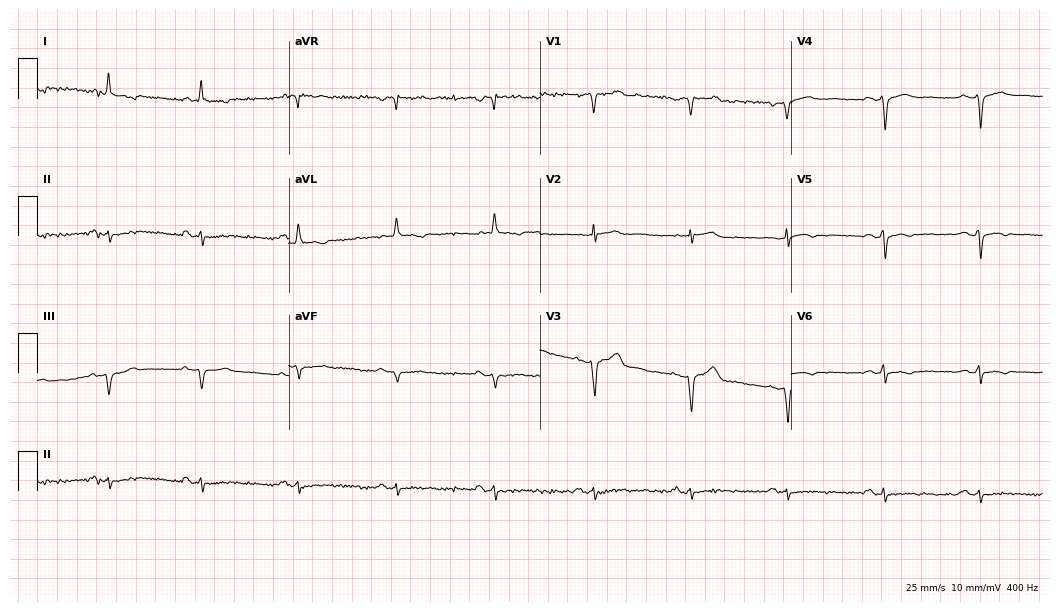
12-lead ECG from a 58-year-old male patient. Screened for six findings — first-degree AV block, right bundle branch block (RBBB), left bundle branch block (LBBB), sinus bradycardia, atrial fibrillation (AF), sinus tachycardia — none is recorded.